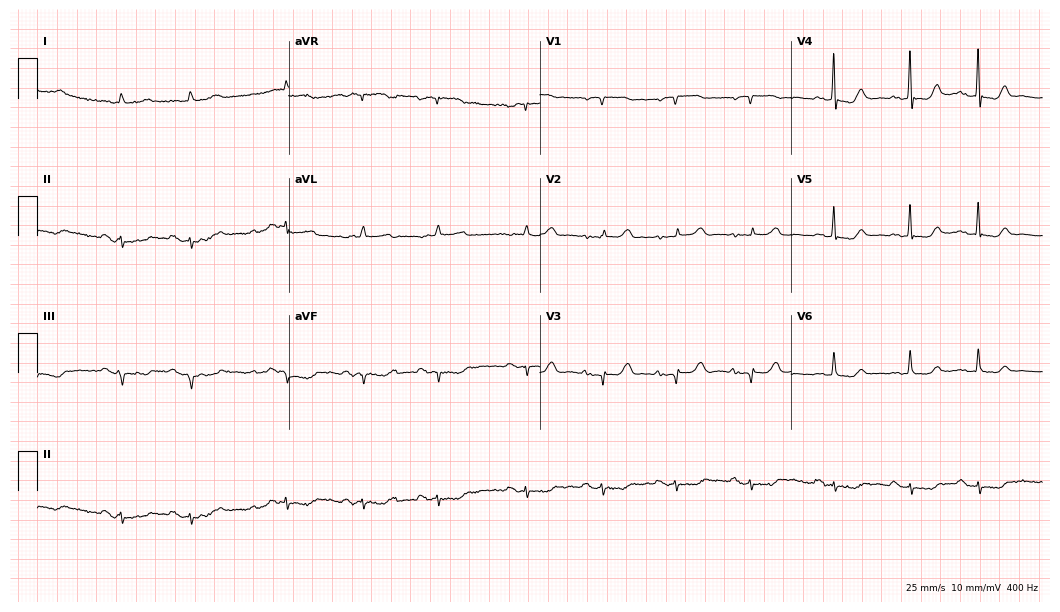
12-lead ECG from a female patient, 84 years old (10.2-second recording at 400 Hz). No first-degree AV block, right bundle branch block, left bundle branch block, sinus bradycardia, atrial fibrillation or sinus tachycardia recorded for this tracing. Other findings, if any, are not listed.